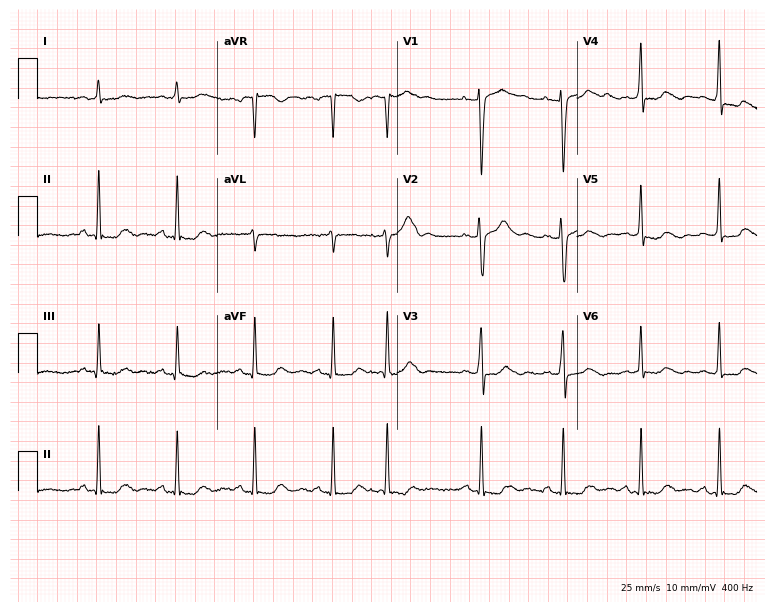
Resting 12-lead electrocardiogram. Patient: a female, 45 years old. None of these six findings is recorded: first-degree AV block, right bundle branch block, left bundle branch block, sinus bradycardia, atrial fibrillation, sinus tachycardia. Other findings, if any, are not listed.